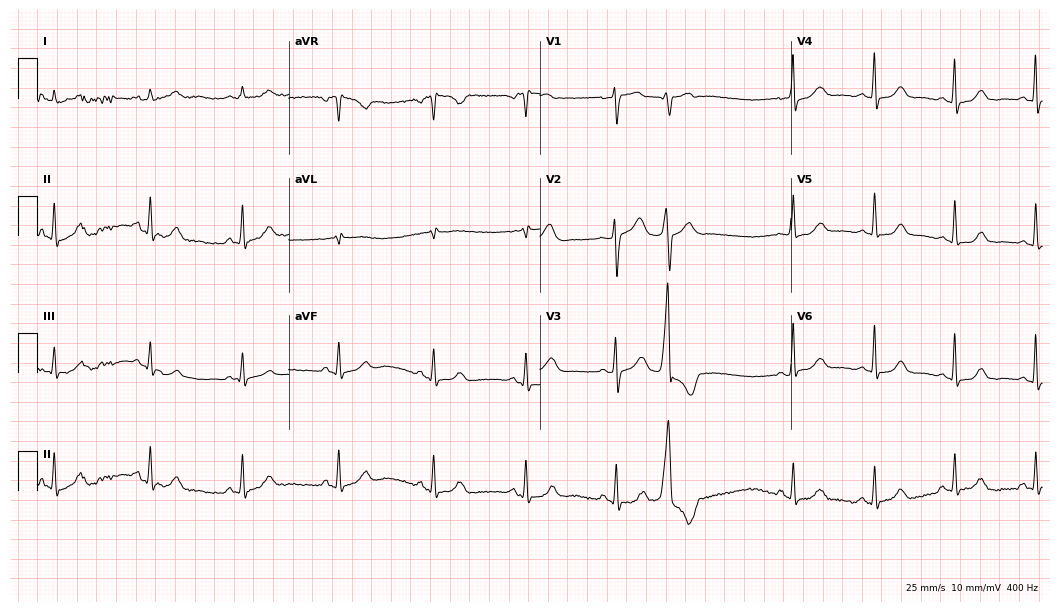
Standard 12-lead ECG recorded from a 61-year-old woman. None of these six findings is recorded: first-degree AV block, right bundle branch block, left bundle branch block, sinus bradycardia, atrial fibrillation, sinus tachycardia. Only these six findings were labelled.